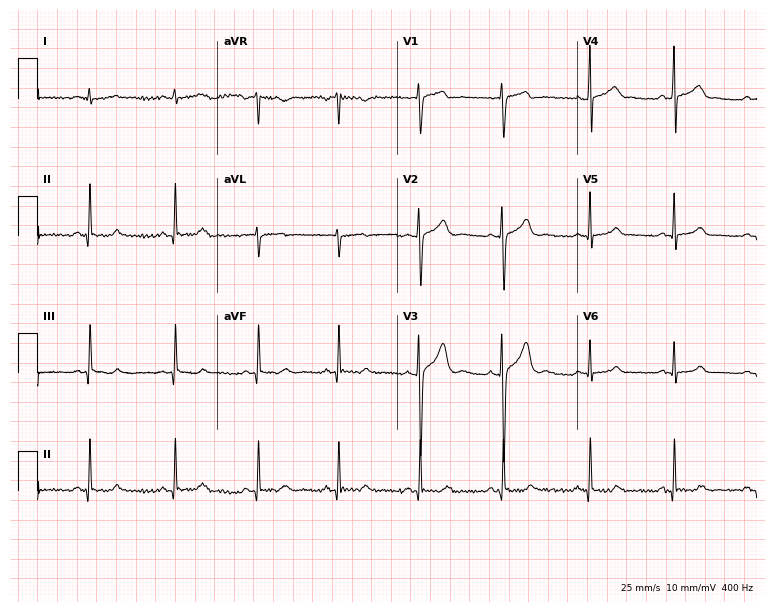
ECG — a male patient, 24 years old. Labelled as a normal ECG.